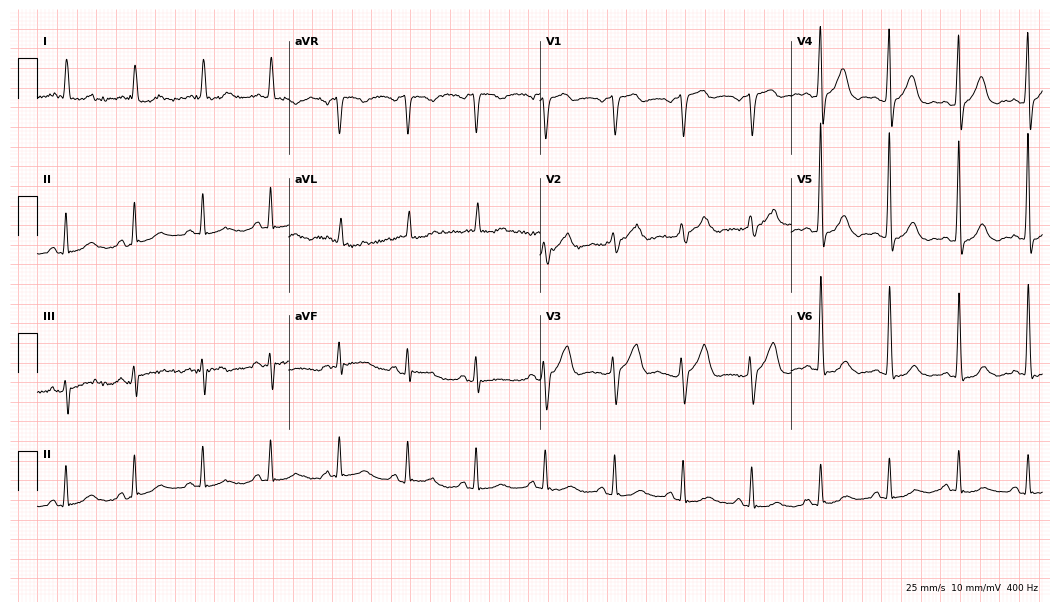
Resting 12-lead electrocardiogram. Patient: a 78-year-old male. None of these six findings is recorded: first-degree AV block, right bundle branch block, left bundle branch block, sinus bradycardia, atrial fibrillation, sinus tachycardia. Only these six findings were labelled.